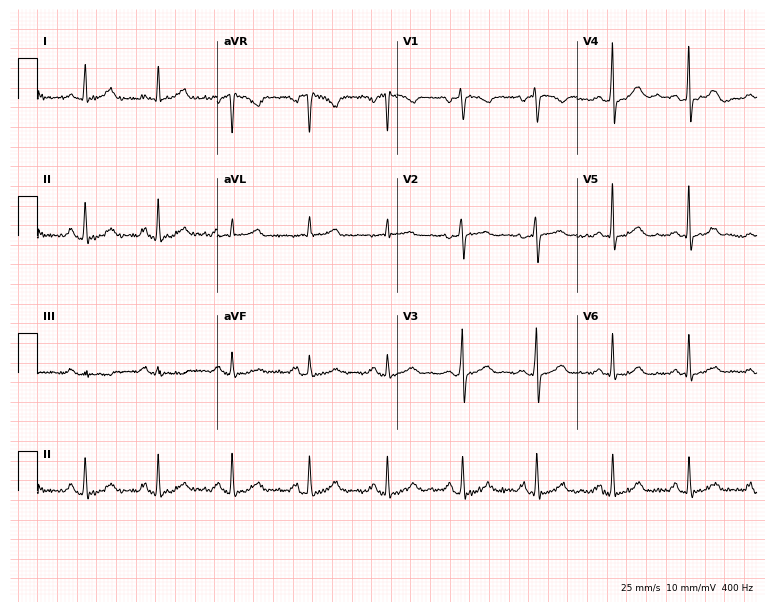
Standard 12-lead ECG recorded from a woman, 33 years old (7.3-second recording at 400 Hz). Read as a normal ECG.